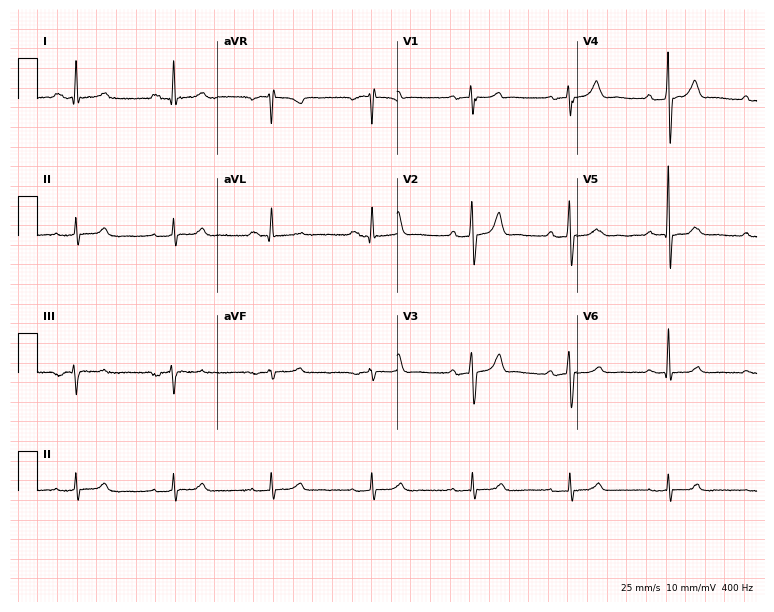
Resting 12-lead electrocardiogram. Patient: a male, 66 years old. None of these six findings is recorded: first-degree AV block, right bundle branch block (RBBB), left bundle branch block (LBBB), sinus bradycardia, atrial fibrillation (AF), sinus tachycardia.